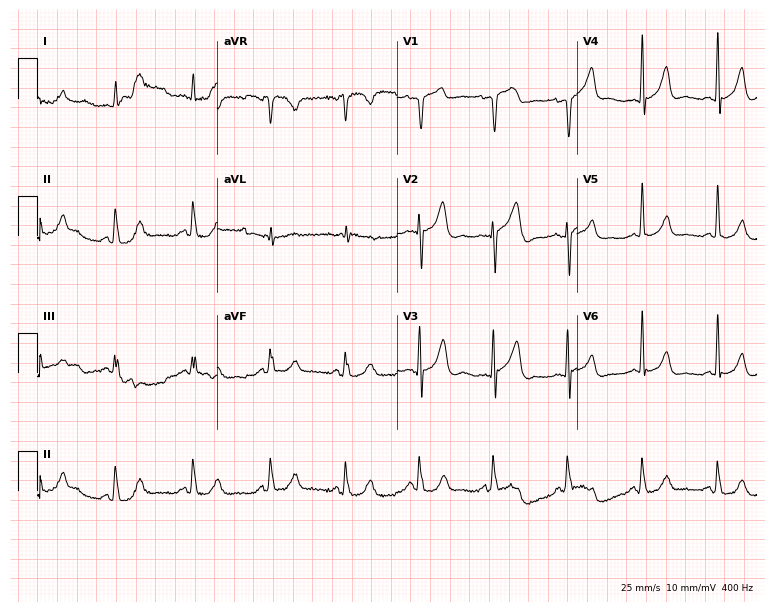
Electrocardiogram (7.3-second recording at 400 Hz), a man, 73 years old. Overall reading on record: normal ECG.